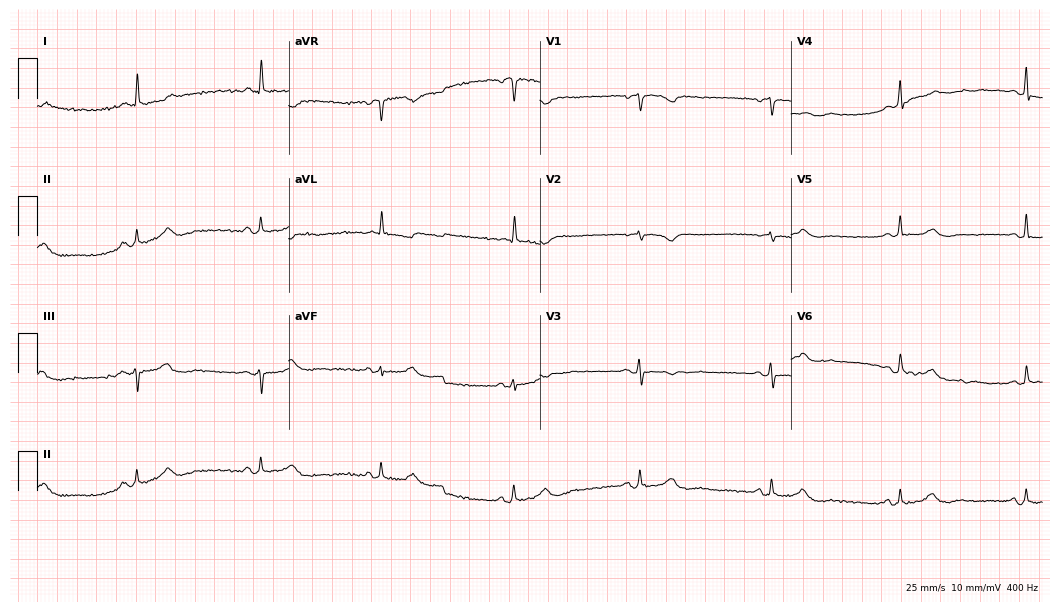
Standard 12-lead ECG recorded from a 51-year-old female patient. None of these six findings is recorded: first-degree AV block, right bundle branch block, left bundle branch block, sinus bradycardia, atrial fibrillation, sinus tachycardia. Other findings, if any, are not listed.